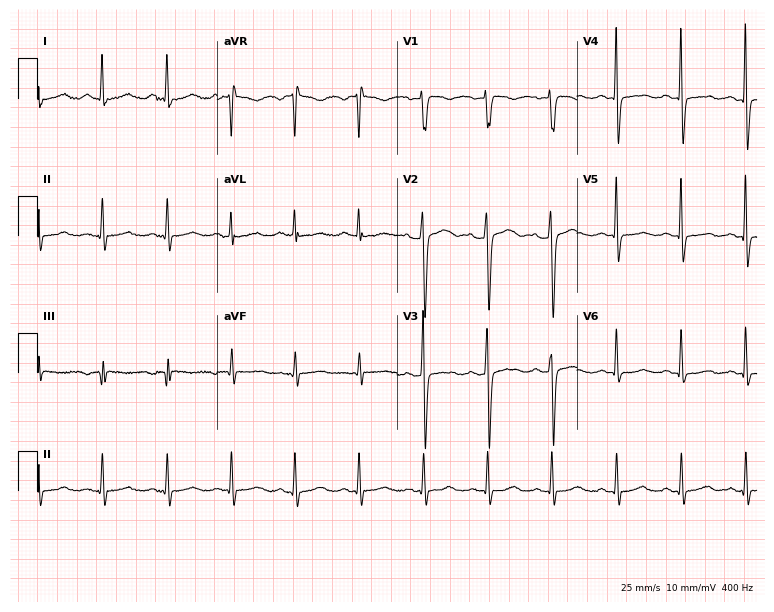
Electrocardiogram (7.3-second recording at 400 Hz), a woman, 68 years old. Of the six screened findings (first-degree AV block, right bundle branch block (RBBB), left bundle branch block (LBBB), sinus bradycardia, atrial fibrillation (AF), sinus tachycardia), none is recorded. Other findings, if any, are not listed.